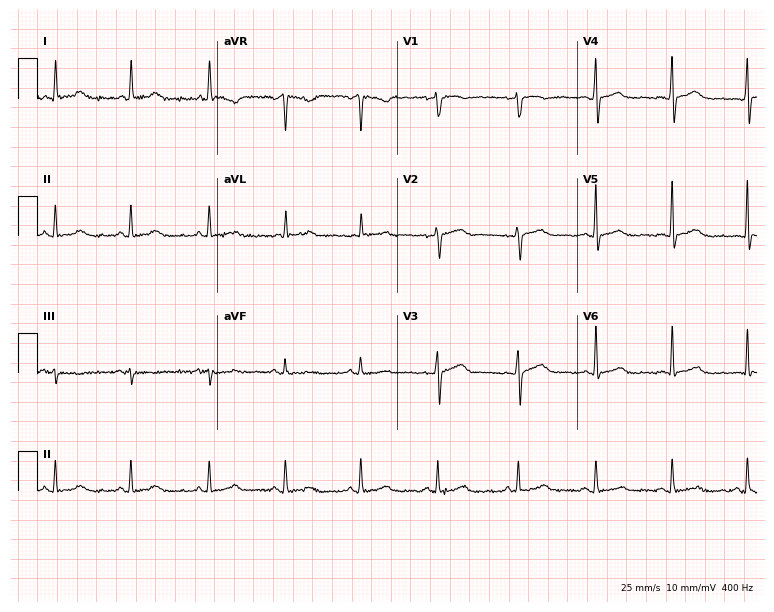
12-lead ECG (7.3-second recording at 400 Hz) from a 60-year-old female. Screened for six findings — first-degree AV block, right bundle branch block, left bundle branch block, sinus bradycardia, atrial fibrillation, sinus tachycardia — none is recorded.